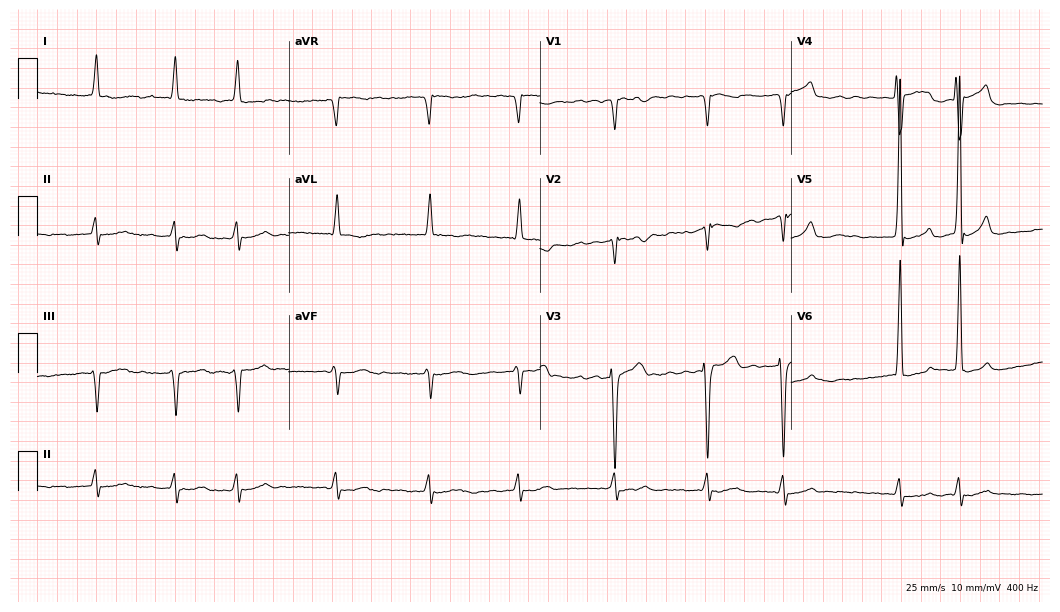
Resting 12-lead electrocardiogram. Patient: a man, 65 years old. The tracing shows atrial fibrillation.